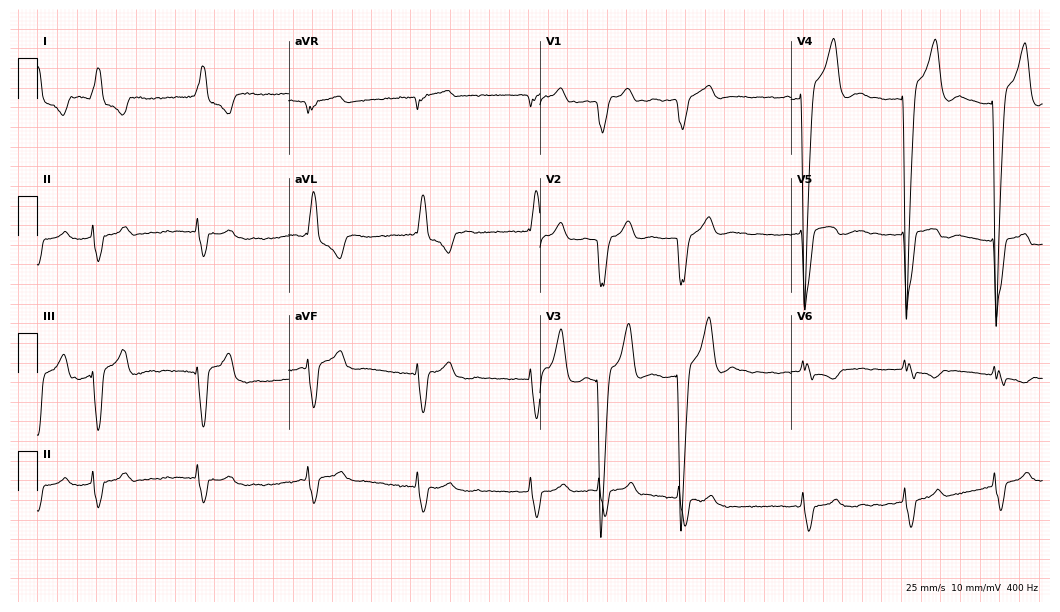
Electrocardiogram (10.2-second recording at 400 Hz), a 77-year-old woman. Interpretation includes left bundle branch block, atrial fibrillation.